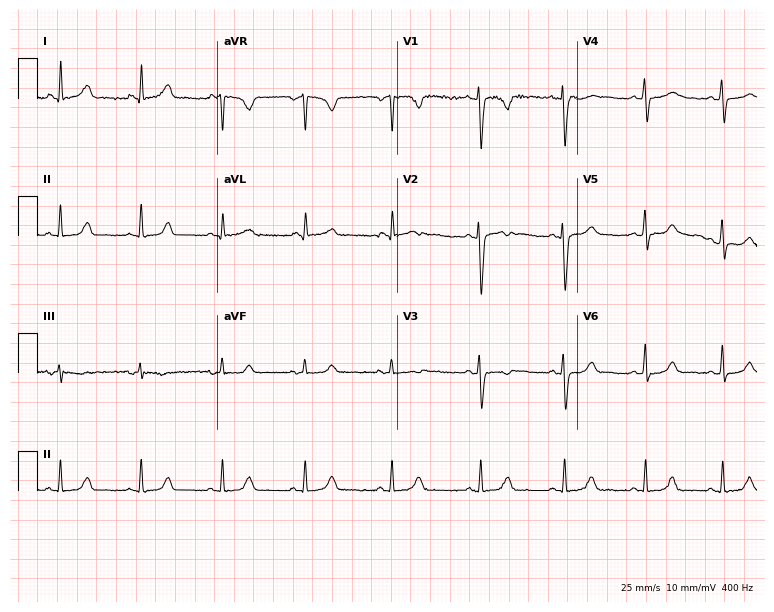
ECG — a female patient, 21 years old. Screened for six findings — first-degree AV block, right bundle branch block, left bundle branch block, sinus bradycardia, atrial fibrillation, sinus tachycardia — none is recorded.